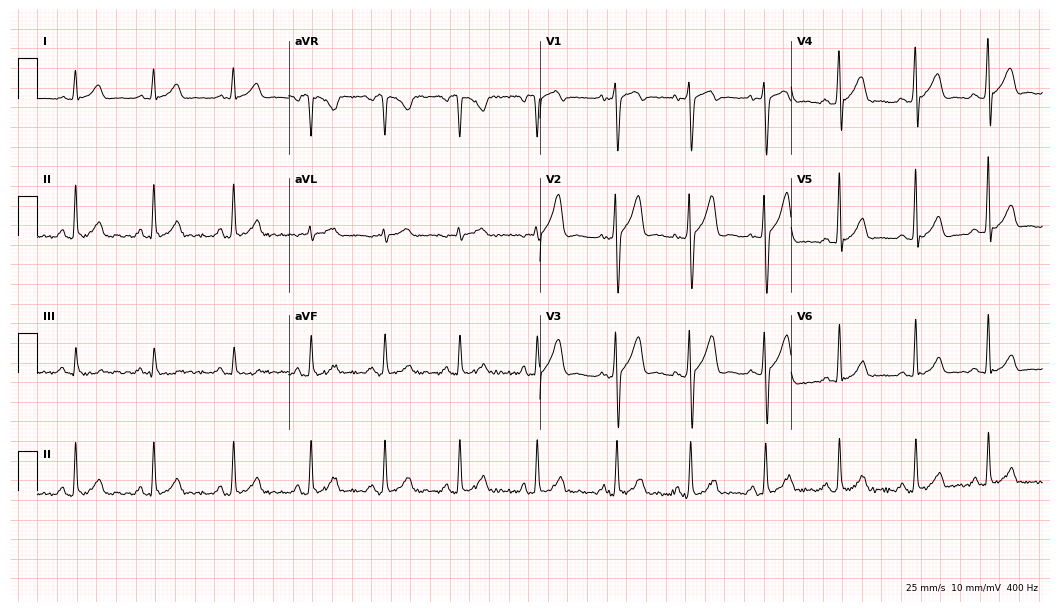
12-lead ECG from a 26-year-old male (10.2-second recording at 400 Hz). Recorded interpretation: within normal limits.